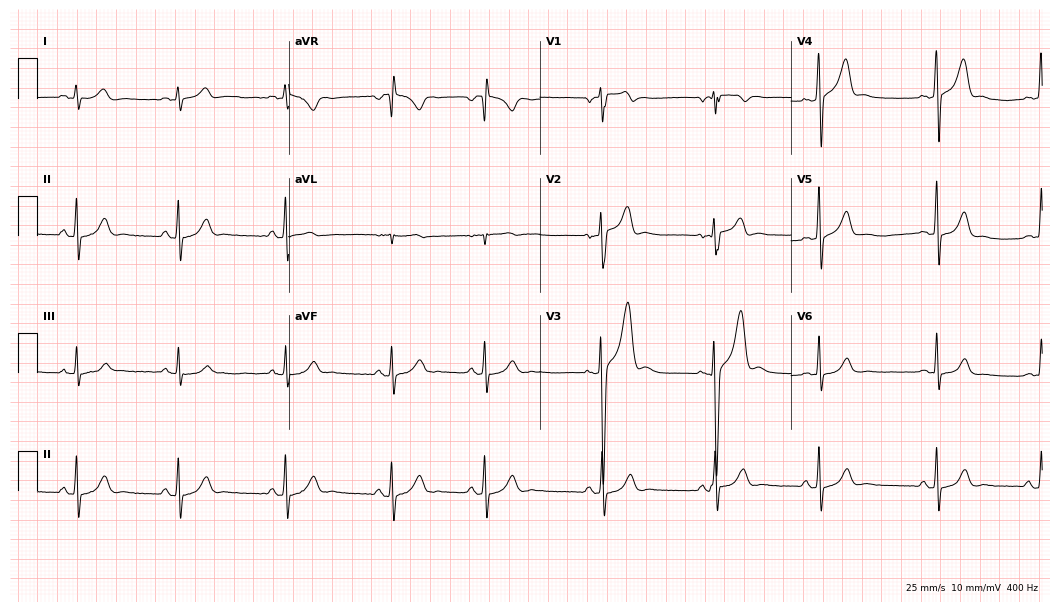
12-lead ECG (10.2-second recording at 400 Hz) from a 22-year-old male. Screened for six findings — first-degree AV block, right bundle branch block (RBBB), left bundle branch block (LBBB), sinus bradycardia, atrial fibrillation (AF), sinus tachycardia — none is recorded. Findings outside these six are not listed.